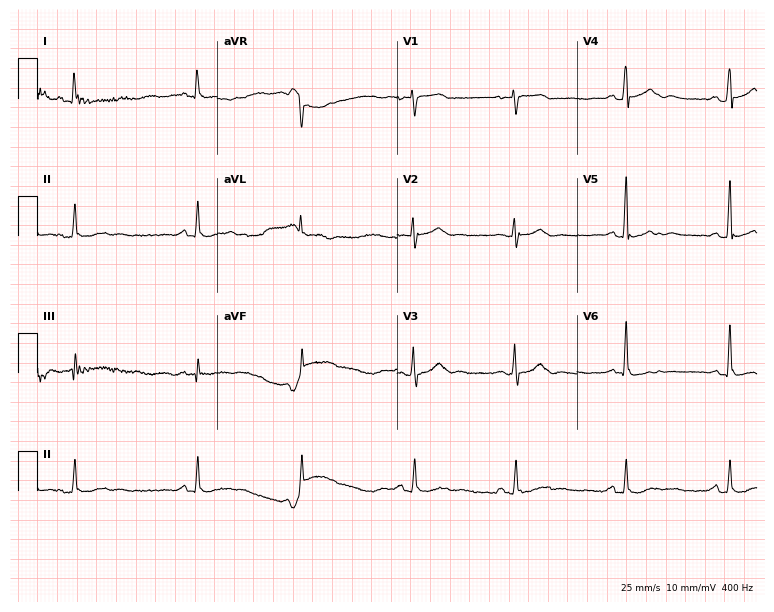
12-lead ECG from a woman, 55 years old. Screened for six findings — first-degree AV block, right bundle branch block, left bundle branch block, sinus bradycardia, atrial fibrillation, sinus tachycardia — none is recorded.